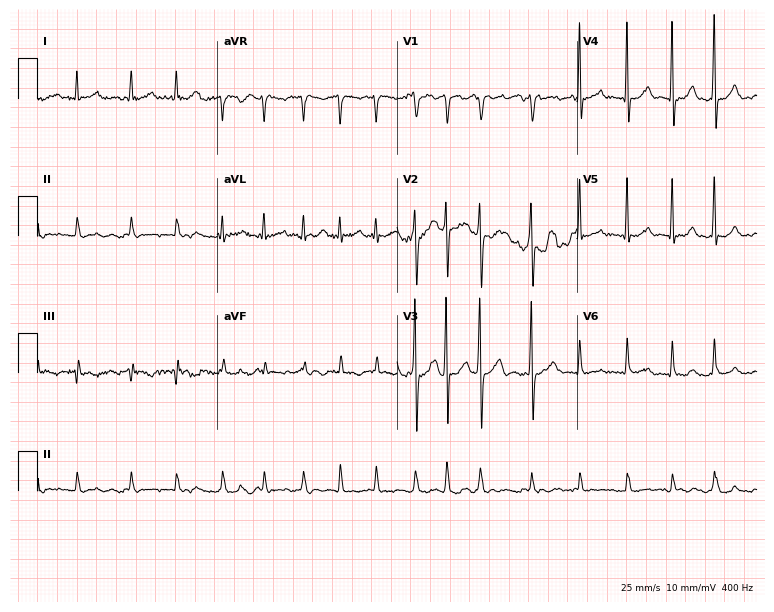
Electrocardiogram (7.3-second recording at 400 Hz), a 60-year-old male patient. Interpretation includes atrial fibrillation (AF).